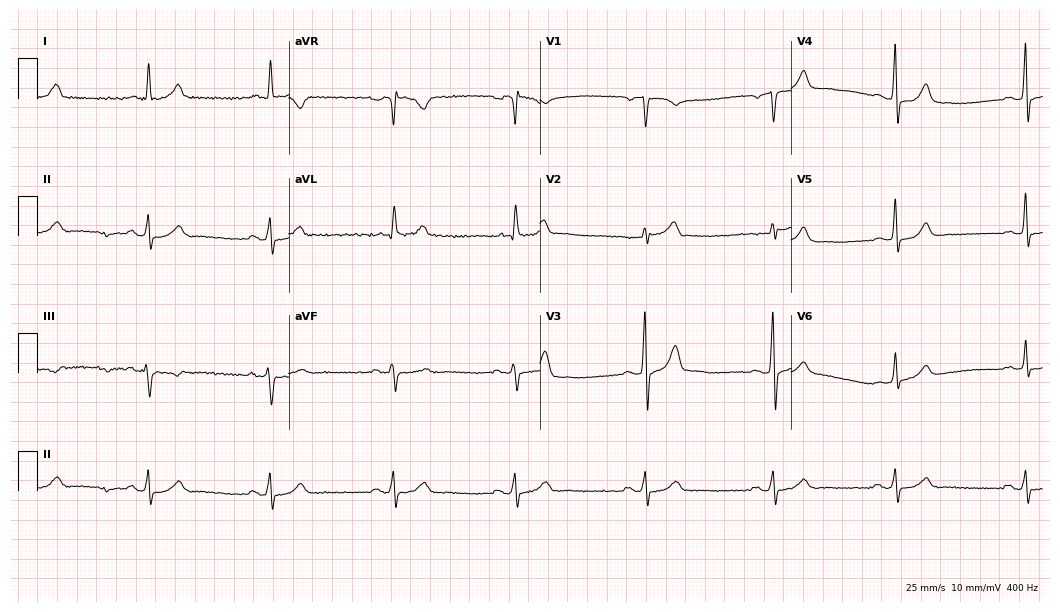
12-lead ECG from a 65-year-old male. Screened for six findings — first-degree AV block, right bundle branch block (RBBB), left bundle branch block (LBBB), sinus bradycardia, atrial fibrillation (AF), sinus tachycardia — none is recorded.